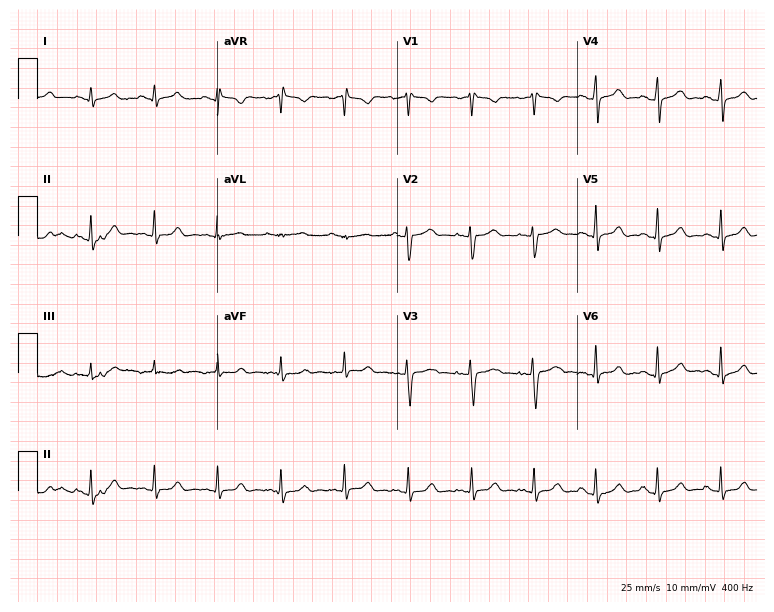
Standard 12-lead ECG recorded from a 21-year-old woman. None of these six findings is recorded: first-degree AV block, right bundle branch block (RBBB), left bundle branch block (LBBB), sinus bradycardia, atrial fibrillation (AF), sinus tachycardia. Only these six findings were labelled.